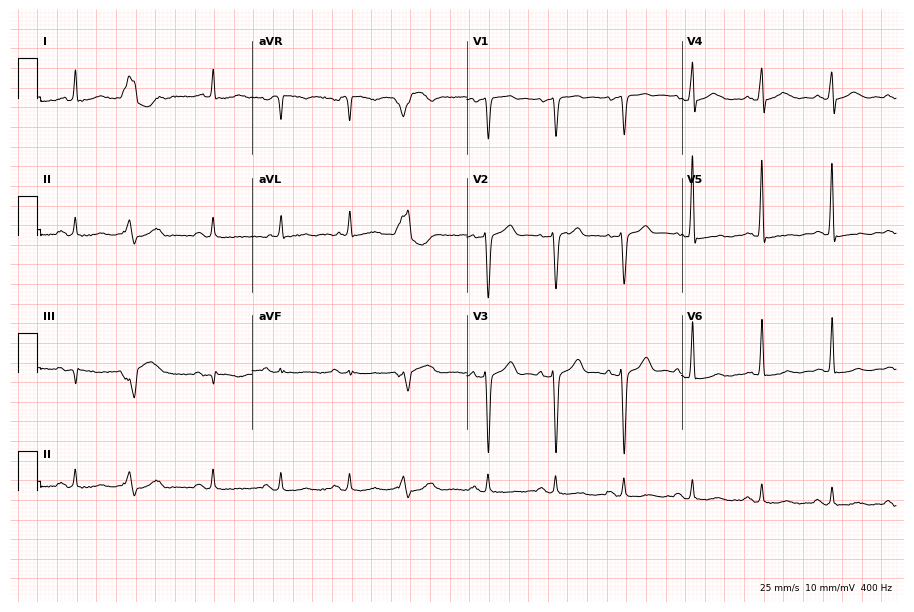
Resting 12-lead electrocardiogram (8.8-second recording at 400 Hz). Patient: a 68-year-old man. None of these six findings is recorded: first-degree AV block, right bundle branch block, left bundle branch block, sinus bradycardia, atrial fibrillation, sinus tachycardia. Only these six findings were labelled.